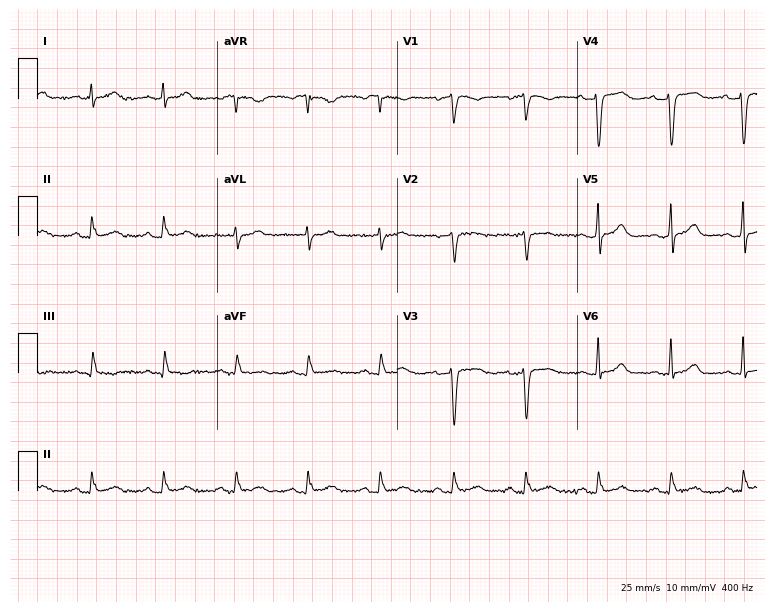
Resting 12-lead electrocardiogram (7.3-second recording at 400 Hz). Patient: a woman, 60 years old. None of these six findings is recorded: first-degree AV block, right bundle branch block, left bundle branch block, sinus bradycardia, atrial fibrillation, sinus tachycardia.